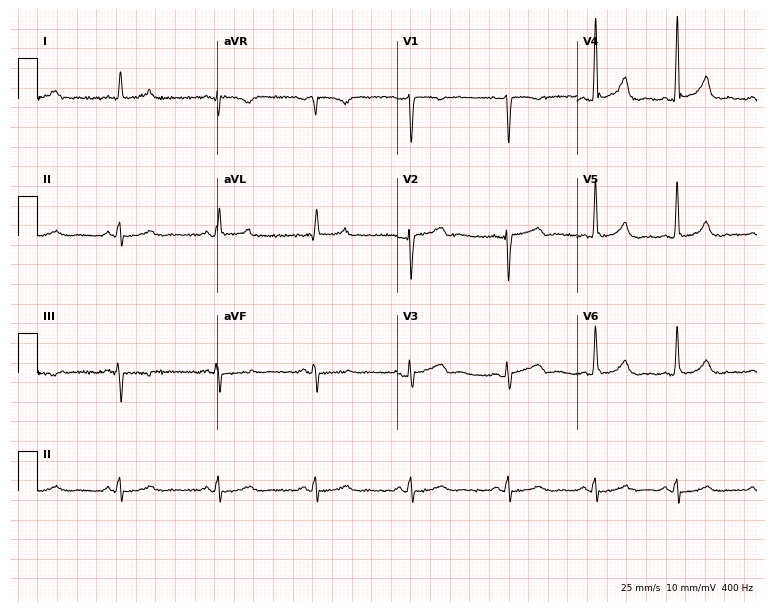
Standard 12-lead ECG recorded from a male patient, 54 years old. None of these six findings is recorded: first-degree AV block, right bundle branch block (RBBB), left bundle branch block (LBBB), sinus bradycardia, atrial fibrillation (AF), sinus tachycardia. Only these six findings were labelled.